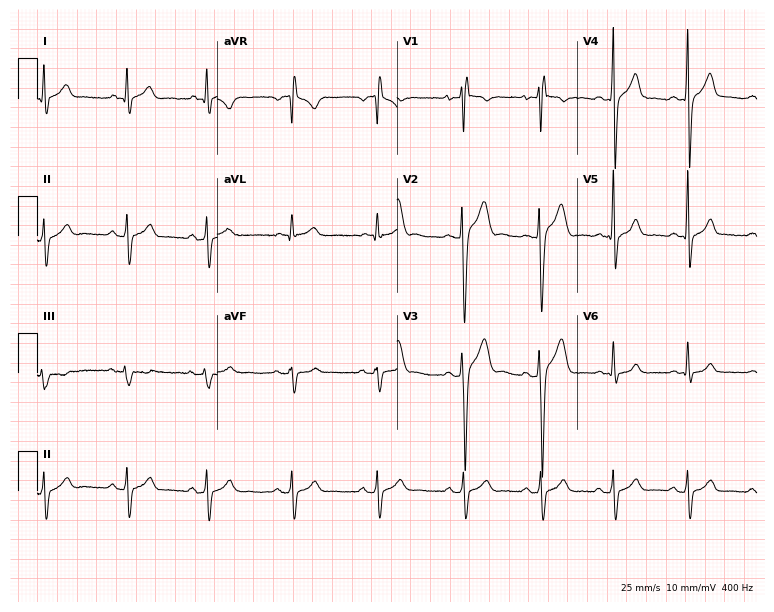
12-lead ECG from a 22-year-old male patient. No first-degree AV block, right bundle branch block, left bundle branch block, sinus bradycardia, atrial fibrillation or sinus tachycardia recorded for this tracing.